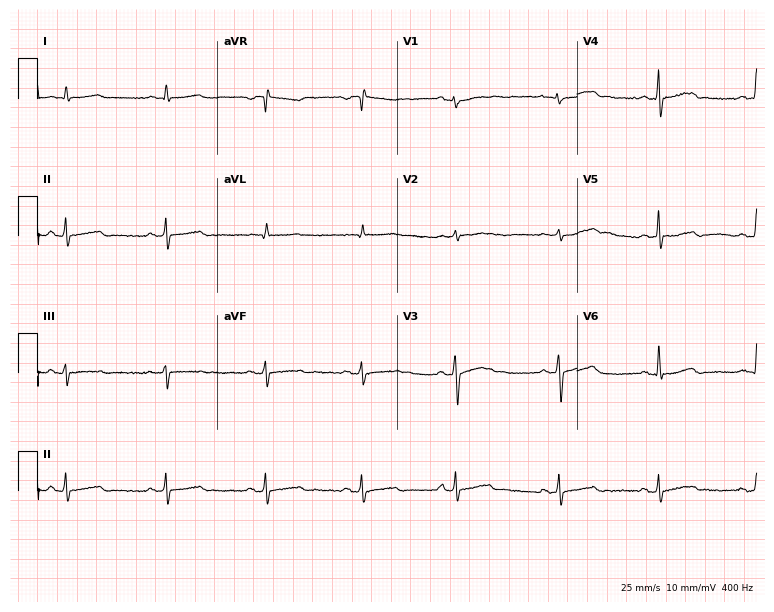
12-lead ECG from a male patient, 54 years old. No first-degree AV block, right bundle branch block, left bundle branch block, sinus bradycardia, atrial fibrillation or sinus tachycardia recorded for this tracing.